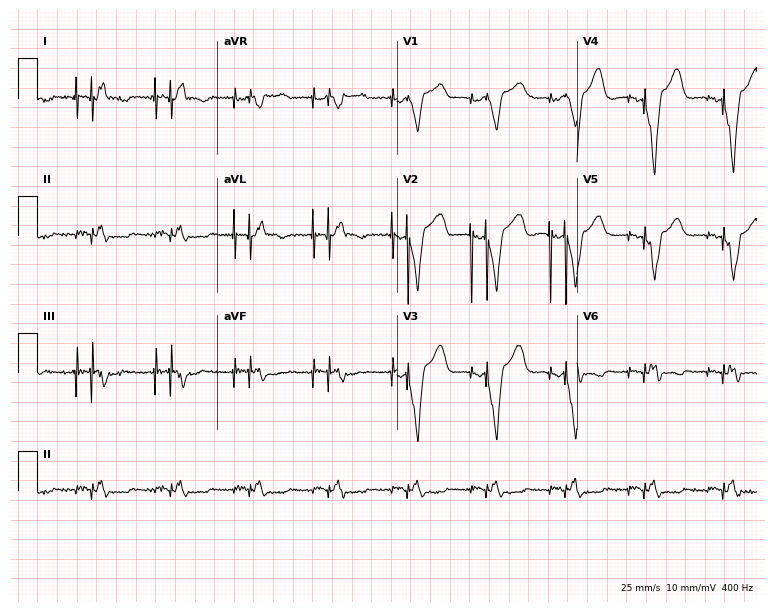
Resting 12-lead electrocardiogram. Patient: a 55-year-old male. None of these six findings is recorded: first-degree AV block, right bundle branch block, left bundle branch block, sinus bradycardia, atrial fibrillation, sinus tachycardia.